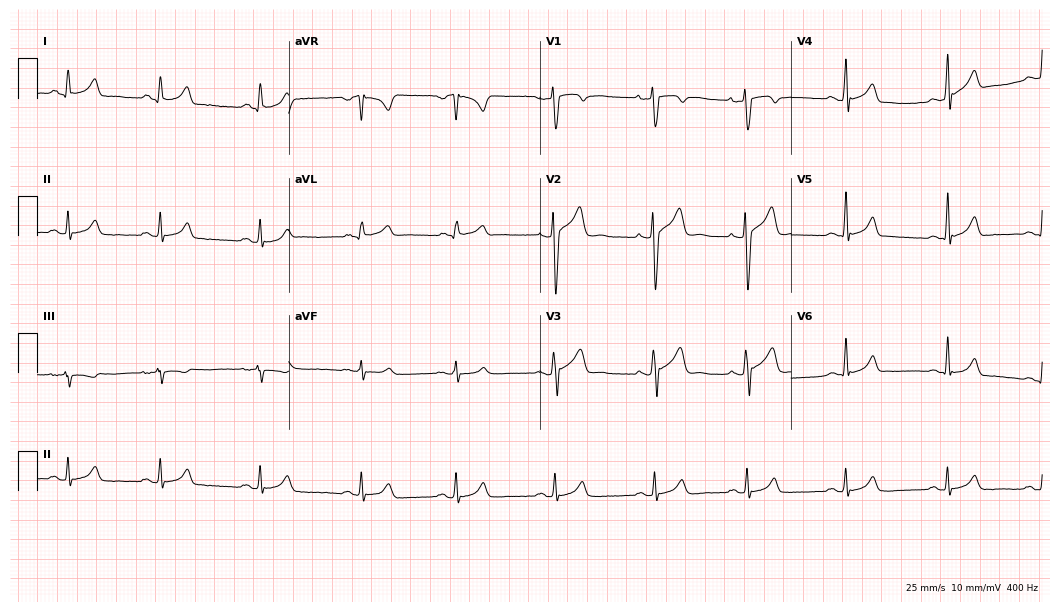
Standard 12-lead ECG recorded from a 25-year-old man (10.2-second recording at 400 Hz). Read as a normal ECG.